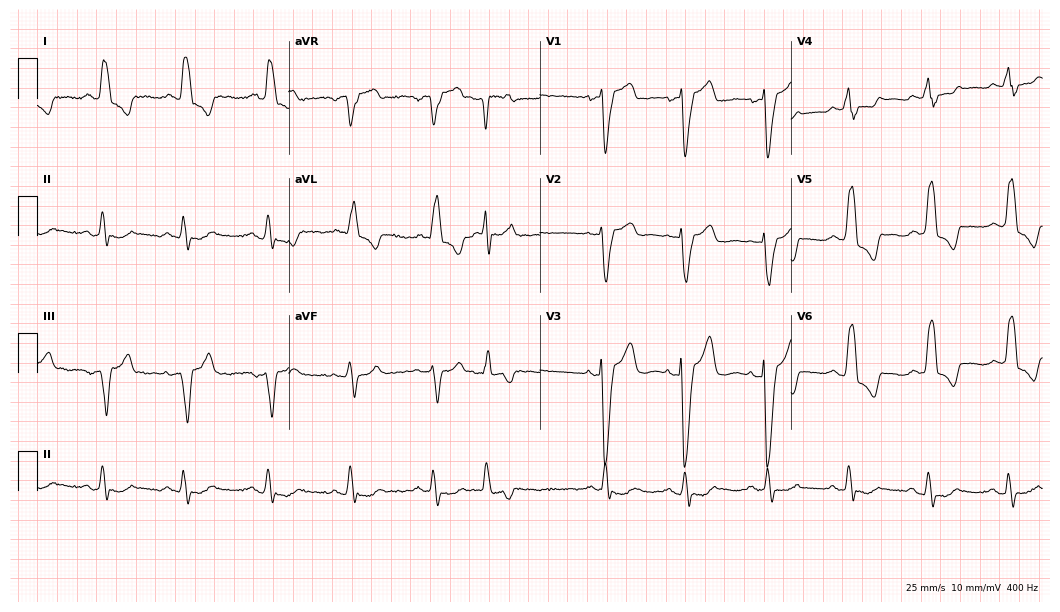
Standard 12-lead ECG recorded from a woman, 80 years old (10.2-second recording at 400 Hz). The tracing shows left bundle branch block.